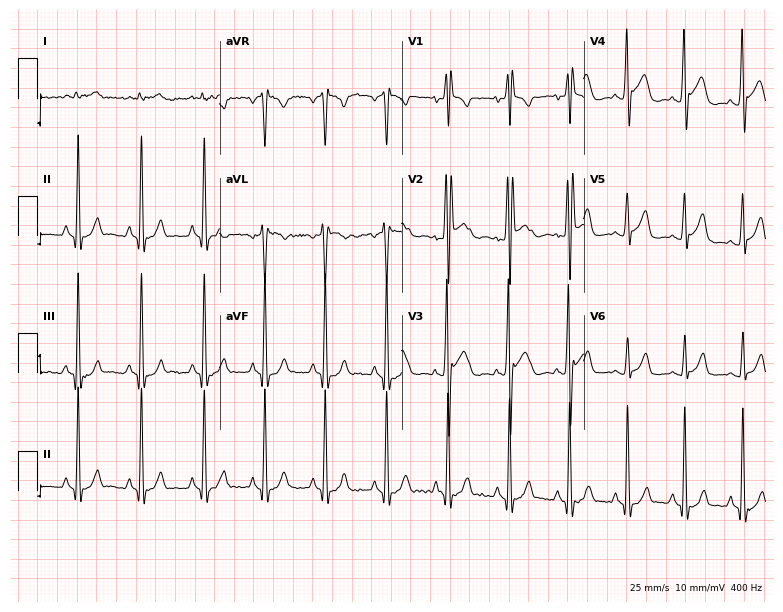
Standard 12-lead ECG recorded from a man, 19 years old (7.4-second recording at 400 Hz). None of these six findings is recorded: first-degree AV block, right bundle branch block, left bundle branch block, sinus bradycardia, atrial fibrillation, sinus tachycardia. Other findings, if any, are not listed.